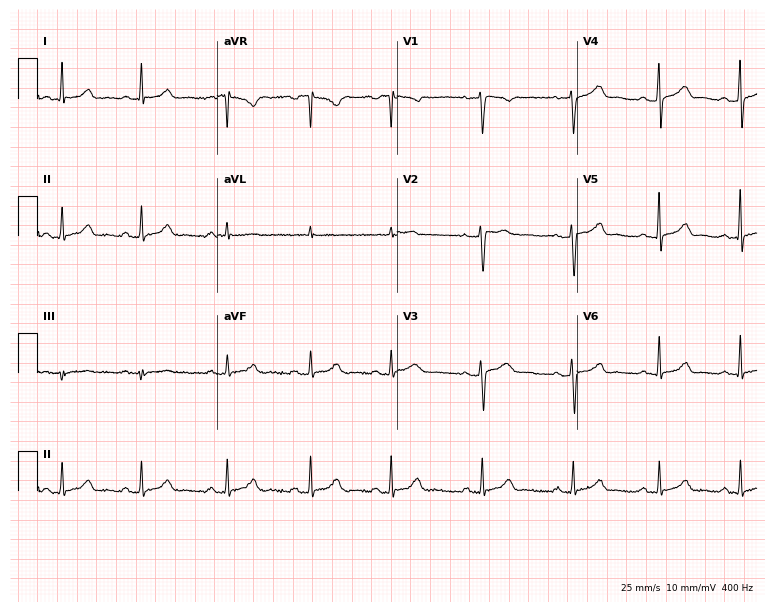
12-lead ECG from a 43-year-old female. Recorded interpretation: within normal limits.